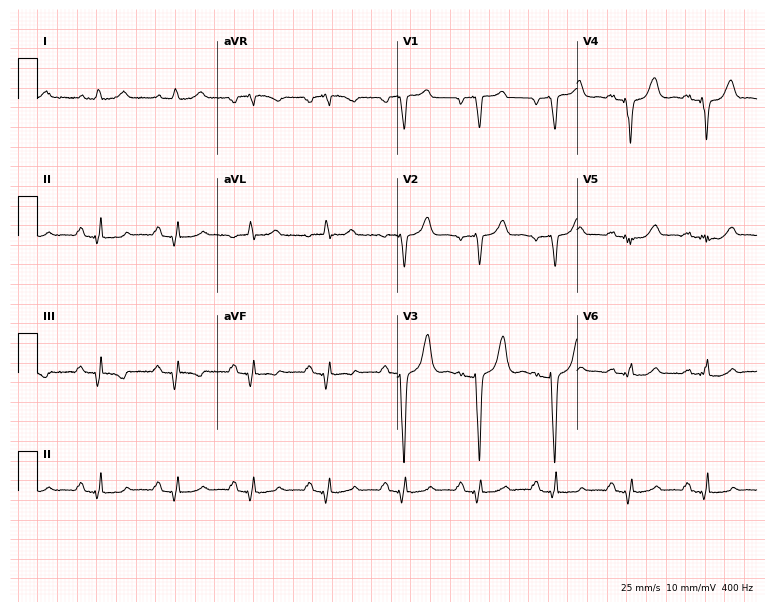
12-lead ECG from an 81-year-old man (7.3-second recording at 400 Hz). No first-degree AV block, right bundle branch block, left bundle branch block, sinus bradycardia, atrial fibrillation or sinus tachycardia recorded for this tracing.